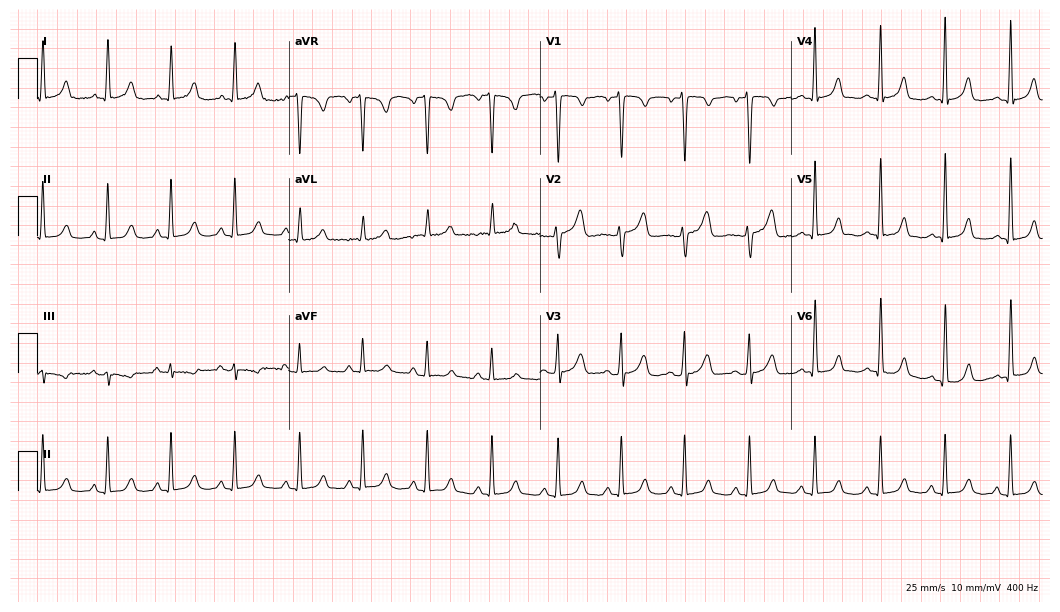
Electrocardiogram, a female, 30 years old. Overall reading on record: normal ECG.